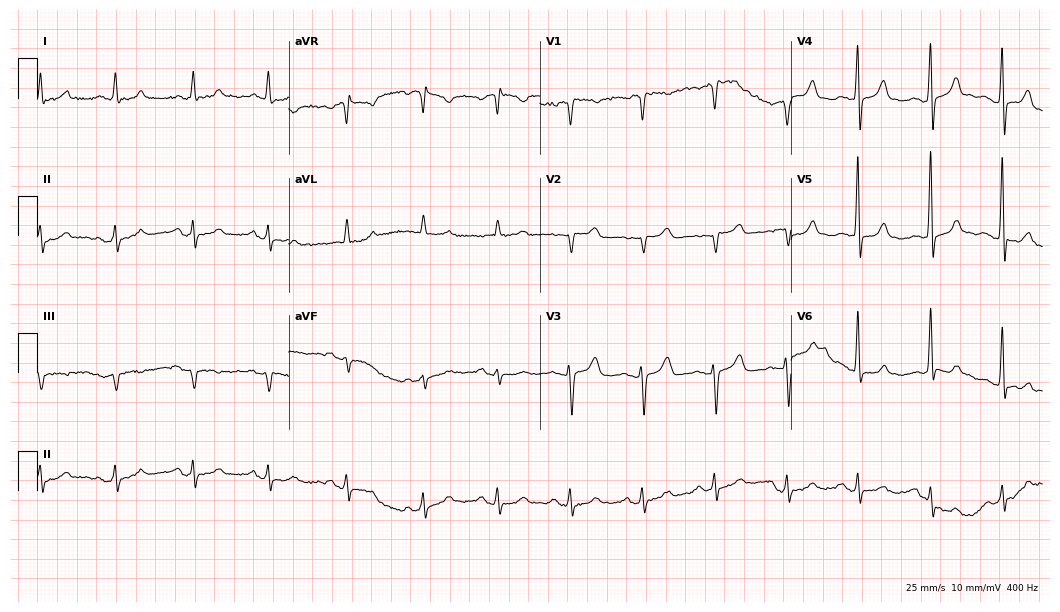
Electrocardiogram, a woman, 77 years old. Of the six screened findings (first-degree AV block, right bundle branch block, left bundle branch block, sinus bradycardia, atrial fibrillation, sinus tachycardia), none is recorded. Other findings, if any, are not listed.